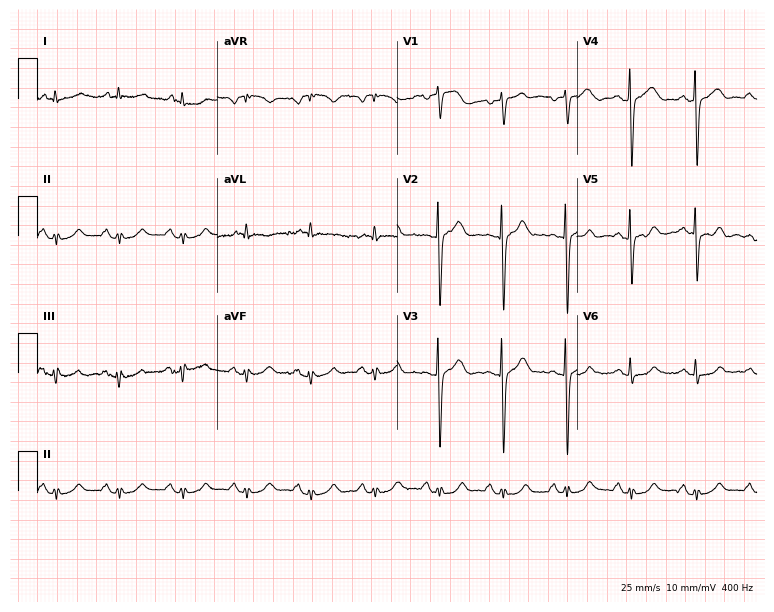
12-lead ECG from a 61-year-old male. No first-degree AV block, right bundle branch block, left bundle branch block, sinus bradycardia, atrial fibrillation or sinus tachycardia recorded for this tracing. Findings outside these six are not listed.